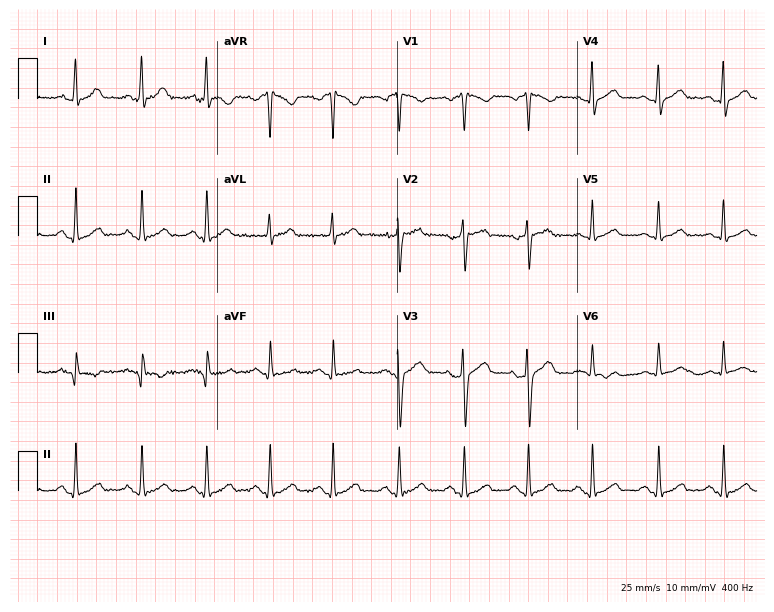
12-lead ECG (7.3-second recording at 400 Hz) from a female, 42 years old. Labelled as a normal ECG.